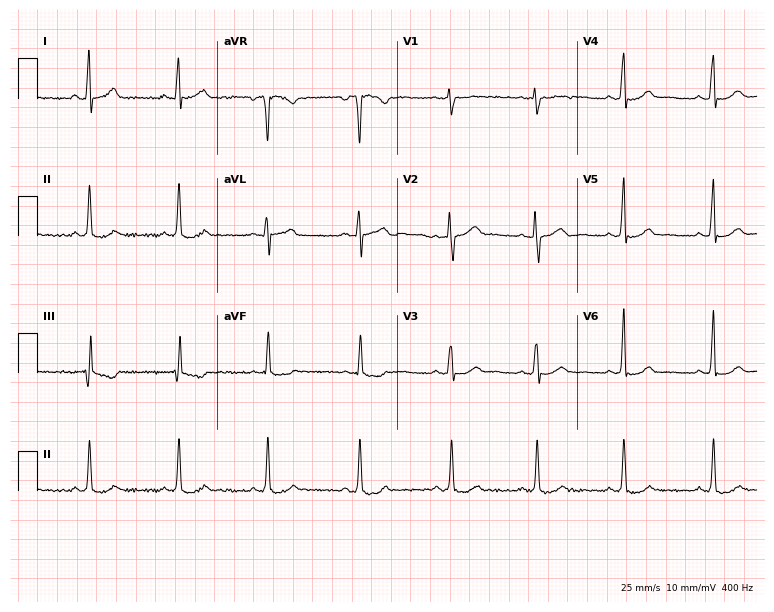
ECG (7.3-second recording at 400 Hz) — a 26-year-old woman. Screened for six findings — first-degree AV block, right bundle branch block (RBBB), left bundle branch block (LBBB), sinus bradycardia, atrial fibrillation (AF), sinus tachycardia — none is recorded.